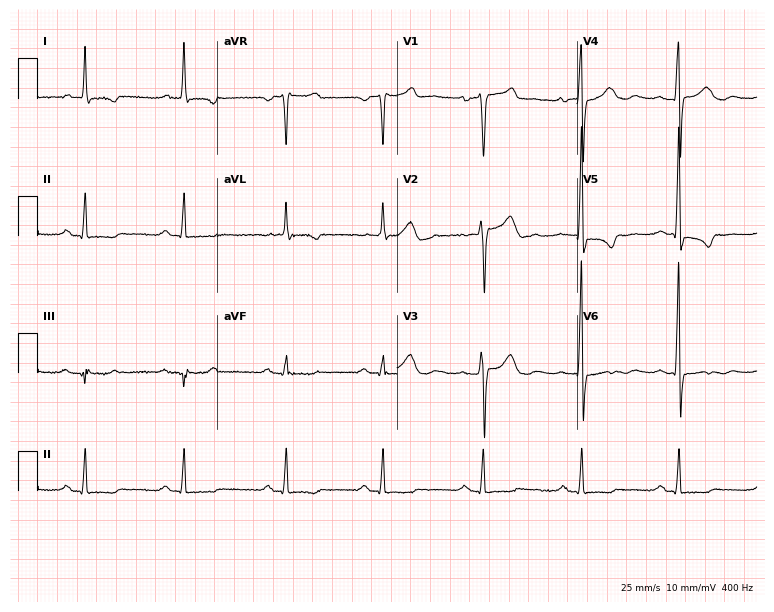
12-lead ECG from a 60-year-old female. No first-degree AV block, right bundle branch block, left bundle branch block, sinus bradycardia, atrial fibrillation or sinus tachycardia recorded for this tracing. Other findings, if any, are not listed.